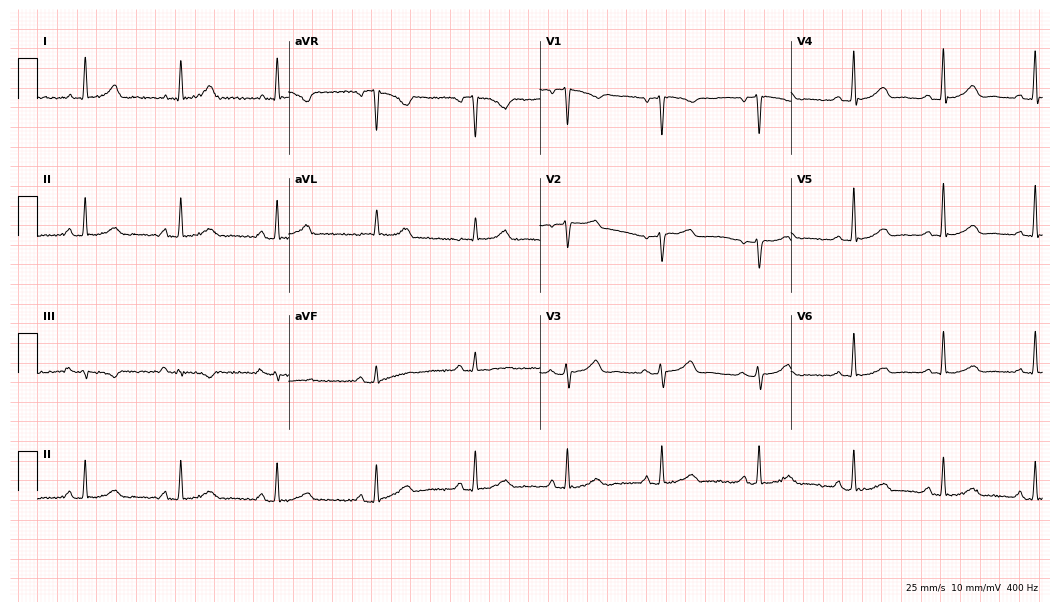
Resting 12-lead electrocardiogram (10.2-second recording at 400 Hz). Patient: a female, 41 years old. Read as a normal ECG.